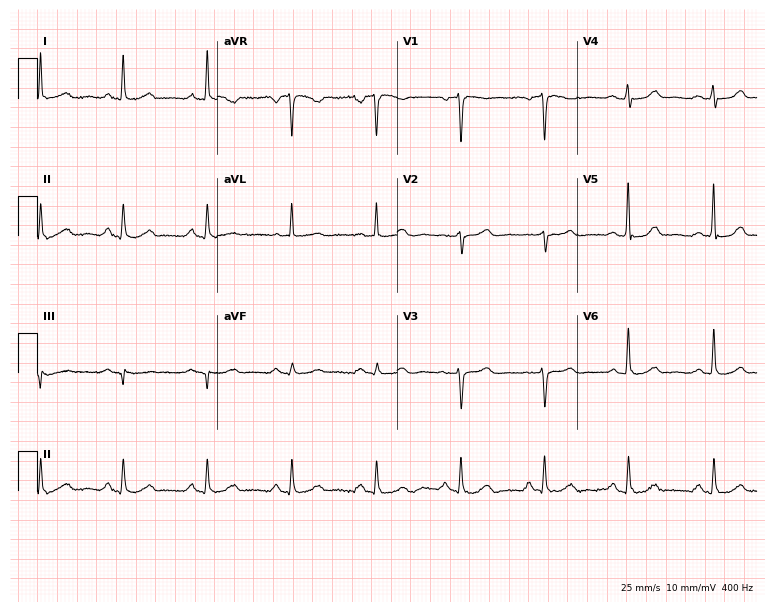
Standard 12-lead ECG recorded from a 65-year-old woman. None of these six findings is recorded: first-degree AV block, right bundle branch block, left bundle branch block, sinus bradycardia, atrial fibrillation, sinus tachycardia. Only these six findings were labelled.